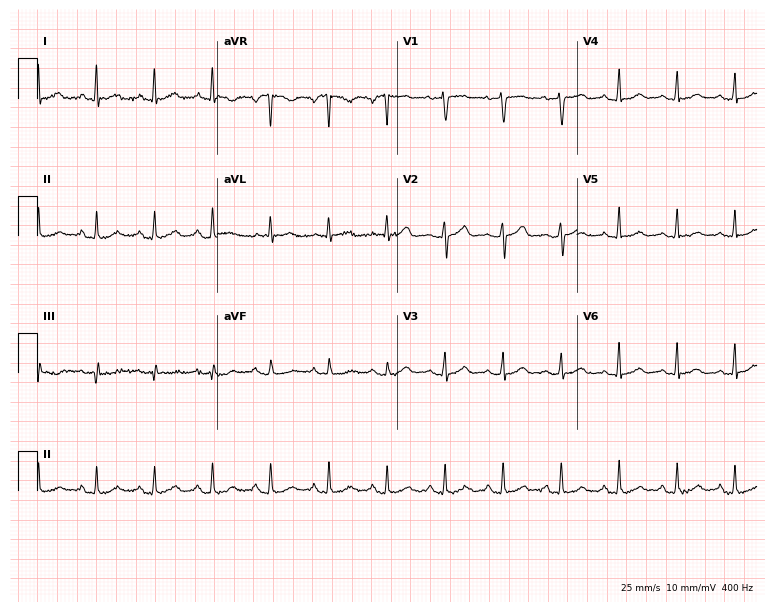
Standard 12-lead ECG recorded from a 68-year-old female patient (7.3-second recording at 400 Hz). The tracing shows sinus tachycardia (a sinus rate of 100 beats per minute or more).